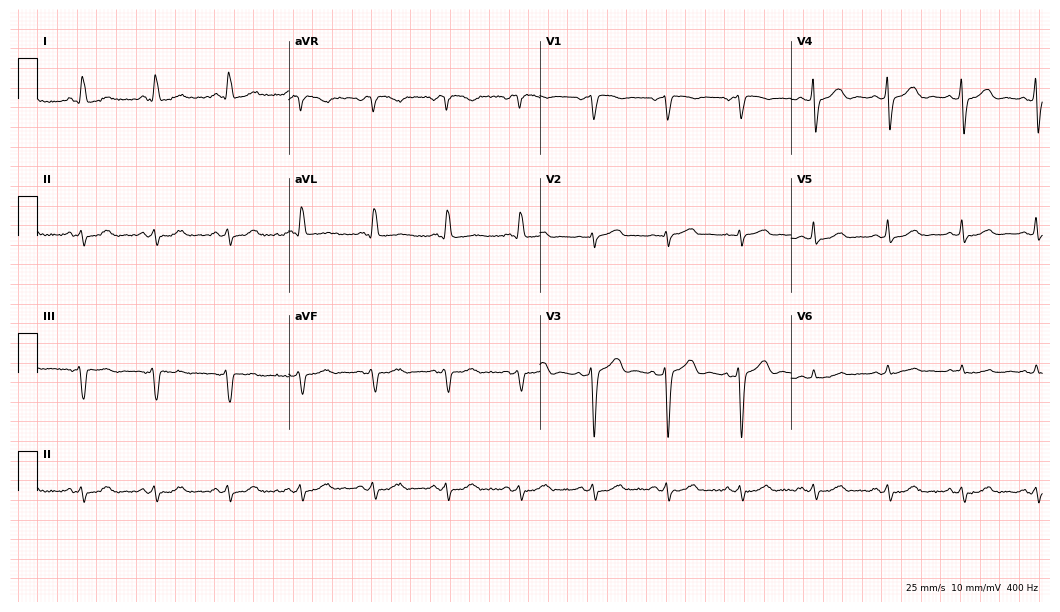
12-lead ECG from a 64-year-old female (10.2-second recording at 400 Hz). No first-degree AV block, right bundle branch block, left bundle branch block, sinus bradycardia, atrial fibrillation or sinus tachycardia recorded for this tracing. Other findings, if any, are not listed.